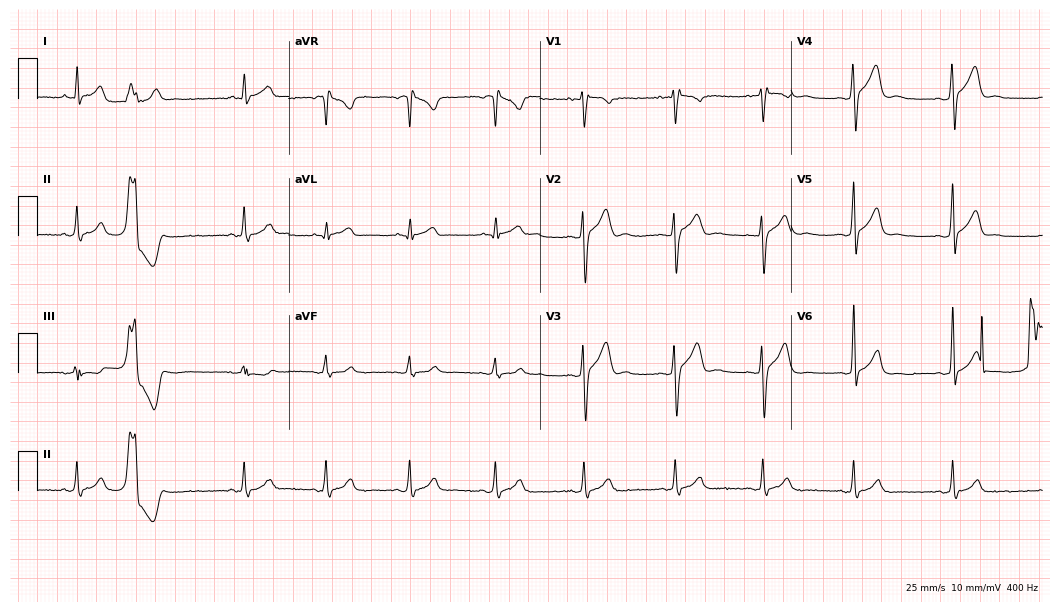
12-lead ECG (10.2-second recording at 400 Hz) from a male, 26 years old. Screened for six findings — first-degree AV block, right bundle branch block (RBBB), left bundle branch block (LBBB), sinus bradycardia, atrial fibrillation (AF), sinus tachycardia — none is recorded.